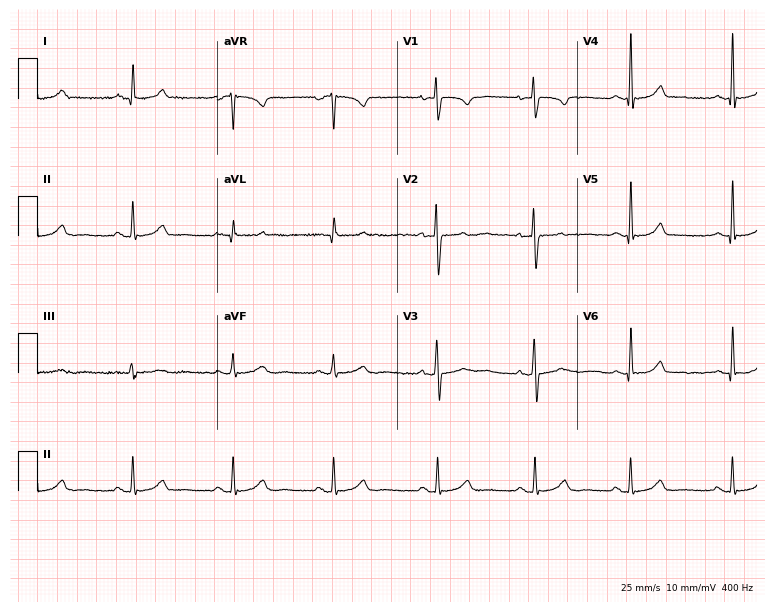
Standard 12-lead ECG recorded from a 39-year-old female patient. Read as a normal ECG.